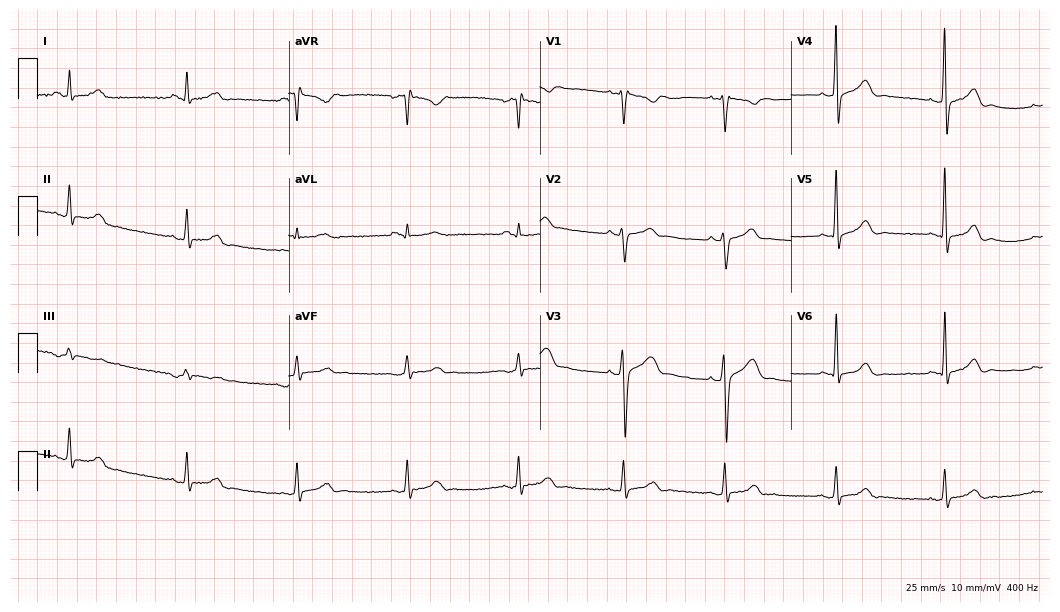
Electrocardiogram (10.2-second recording at 400 Hz), a 42-year-old male patient. Overall reading on record: normal ECG.